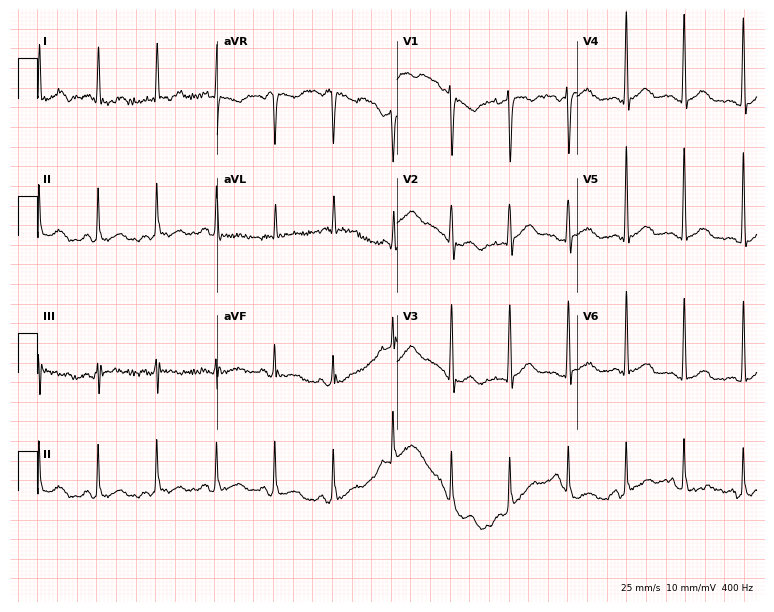
ECG (7.3-second recording at 400 Hz) — a 55-year-old woman. Screened for six findings — first-degree AV block, right bundle branch block, left bundle branch block, sinus bradycardia, atrial fibrillation, sinus tachycardia — none is recorded.